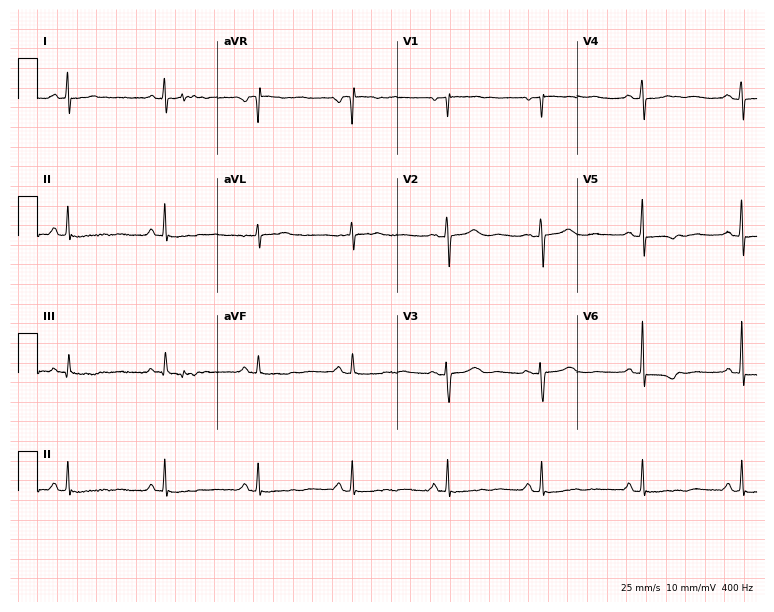
12-lead ECG from a woman, 48 years old (7.3-second recording at 400 Hz). No first-degree AV block, right bundle branch block (RBBB), left bundle branch block (LBBB), sinus bradycardia, atrial fibrillation (AF) or sinus tachycardia recorded for this tracing. Other findings, if any, are not listed.